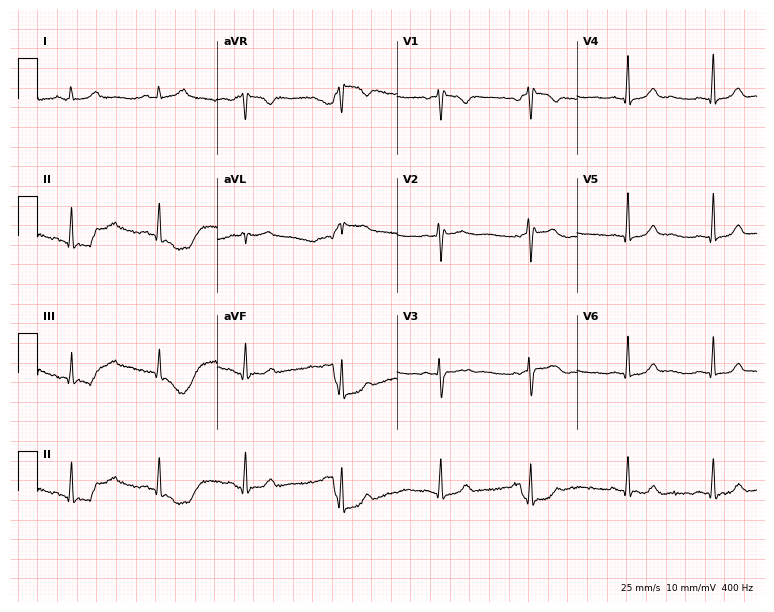
Electrocardiogram (7.3-second recording at 400 Hz), a 21-year-old woman. Overall reading on record: normal ECG.